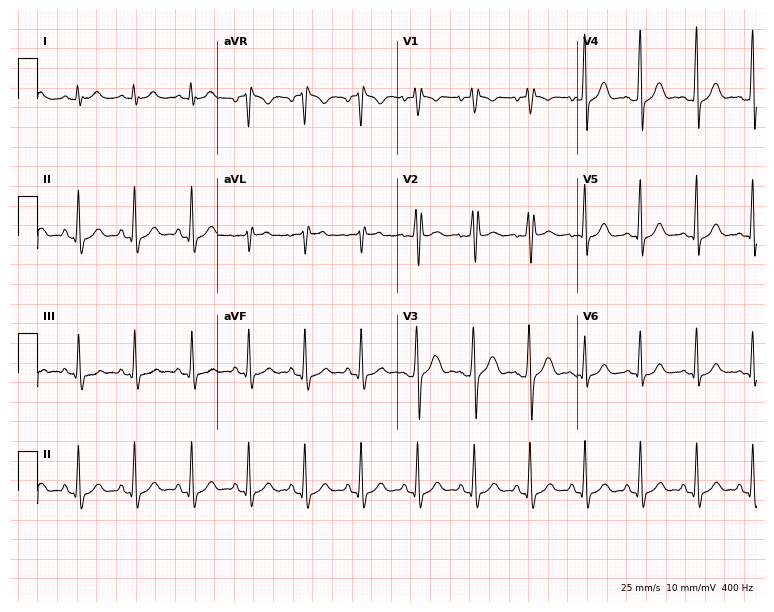
Electrocardiogram, a 20-year-old male. Of the six screened findings (first-degree AV block, right bundle branch block, left bundle branch block, sinus bradycardia, atrial fibrillation, sinus tachycardia), none is recorded.